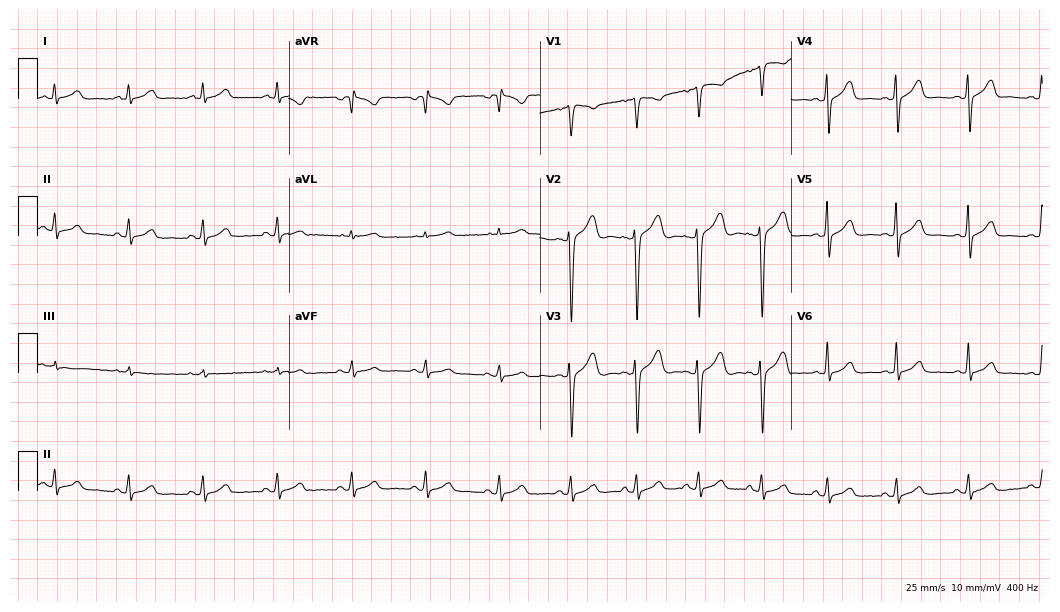
Resting 12-lead electrocardiogram. Patient: a male, 45 years old. None of these six findings is recorded: first-degree AV block, right bundle branch block, left bundle branch block, sinus bradycardia, atrial fibrillation, sinus tachycardia.